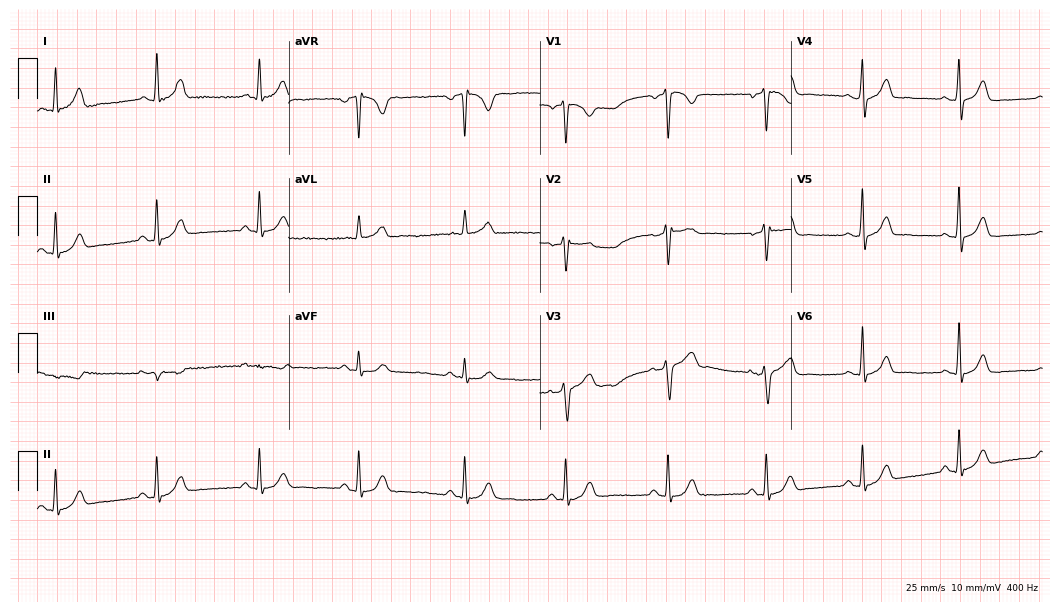
Electrocardiogram (10.2-second recording at 400 Hz), a 34-year-old man. Overall reading on record: normal ECG.